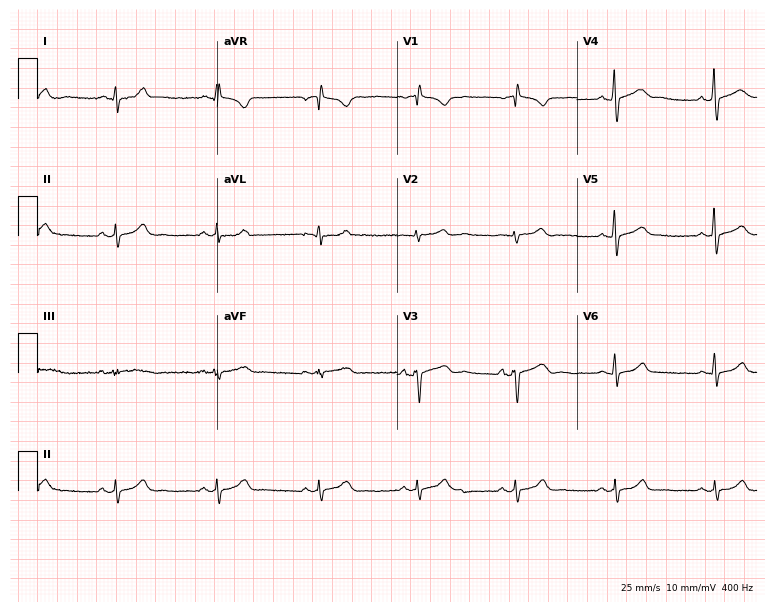
ECG — a man, 36 years old. Screened for six findings — first-degree AV block, right bundle branch block, left bundle branch block, sinus bradycardia, atrial fibrillation, sinus tachycardia — none is recorded. Findings outside these six are not listed.